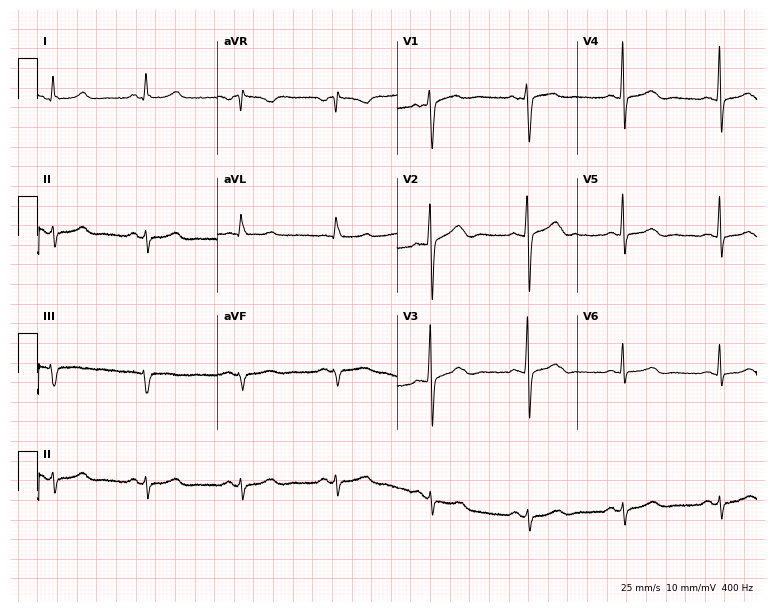
12-lead ECG from a 54-year-old female. No first-degree AV block, right bundle branch block, left bundle branch block, sinus bradycardia, atrial fibrillation or sinus tachycardia recorded for this tracing.